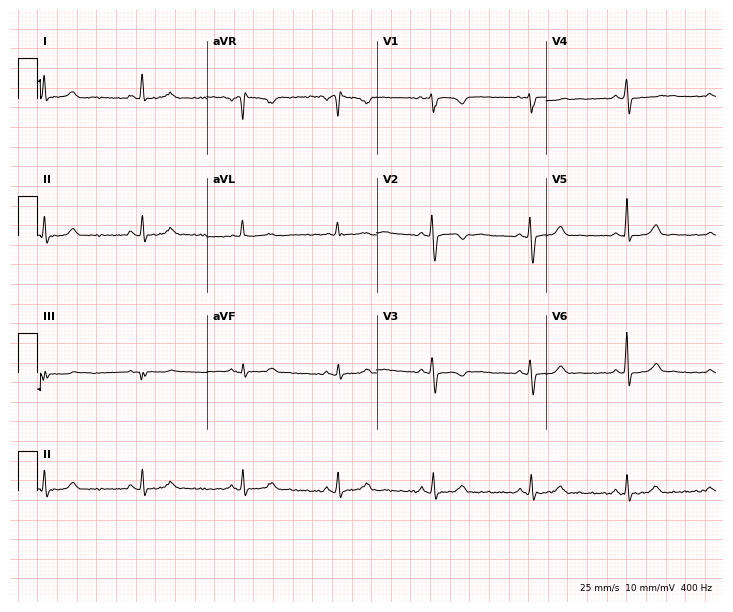
Electrocardiogram (6.9-second recording at 400 Hz), a woman, 50 years old. Of the six screened findings (first-degree AV block, right bundle branch block, left bundle branch block, sinus bradycardia, atrial fibrillation, sinus tachycardia), none is recorded.